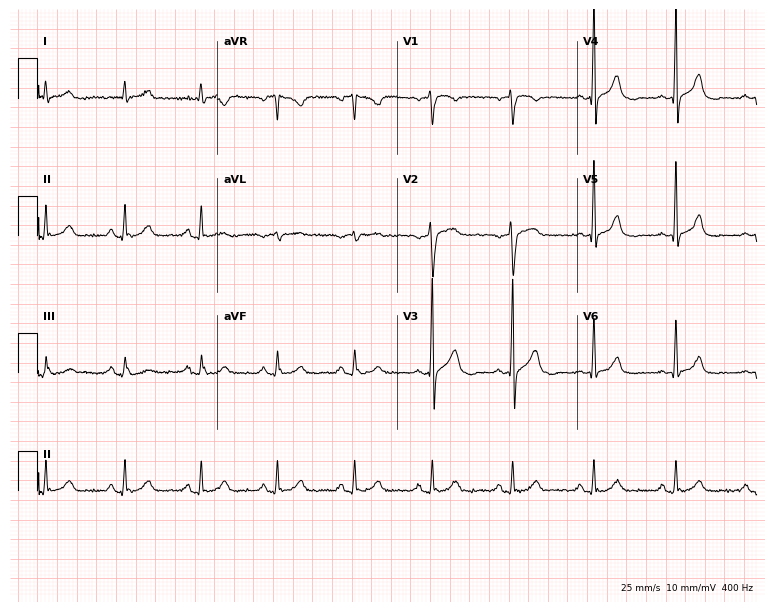
Electrocardiogram, a male patient, 55 years old. Of the six screened findings (first-degree AV block, right bundle branch block (RBBB), left bundle branch block (LBBB), sinus bradycardia, atrial fibrillation (AF), sinus tachycardia), none is recorded. Only these six findings were labelled.